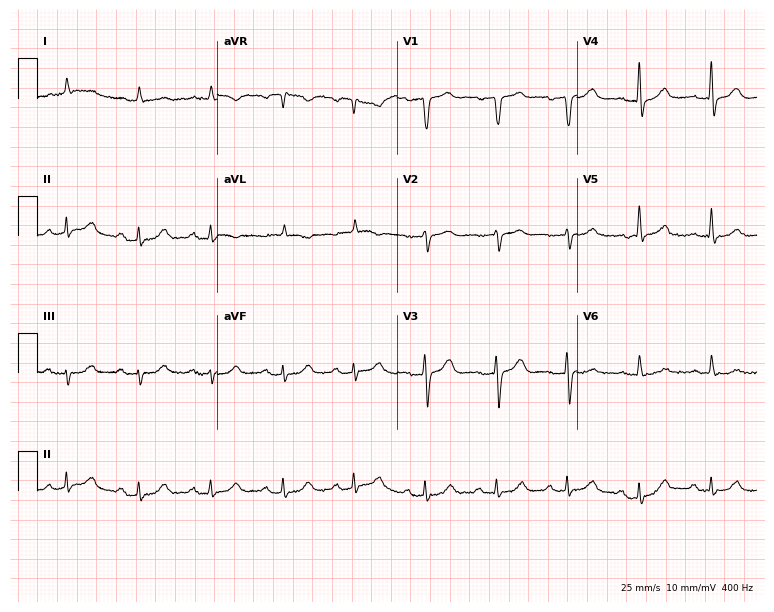
12-lead ECG (7.3-second recording at 400 Hz) from a male patient, 80 years old. Screened for six findings — first-degree AV block, right bundle branch block, left bundle branch block, sinus bradycardia, atrial fibrillation, sinus tachycardia — none is recorded. Other findings, if any, are not listed.